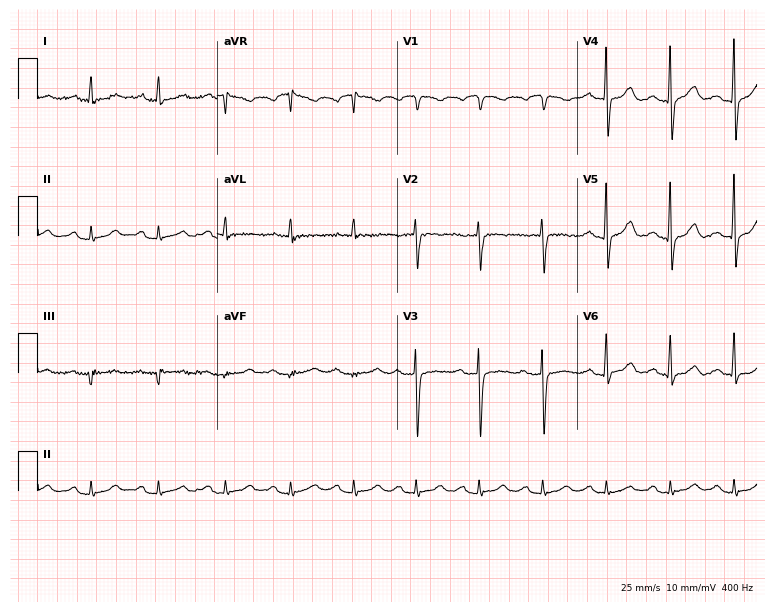
Electrocardiogram, a 71-year-old female patient. Overall reading on record: normal ECG.